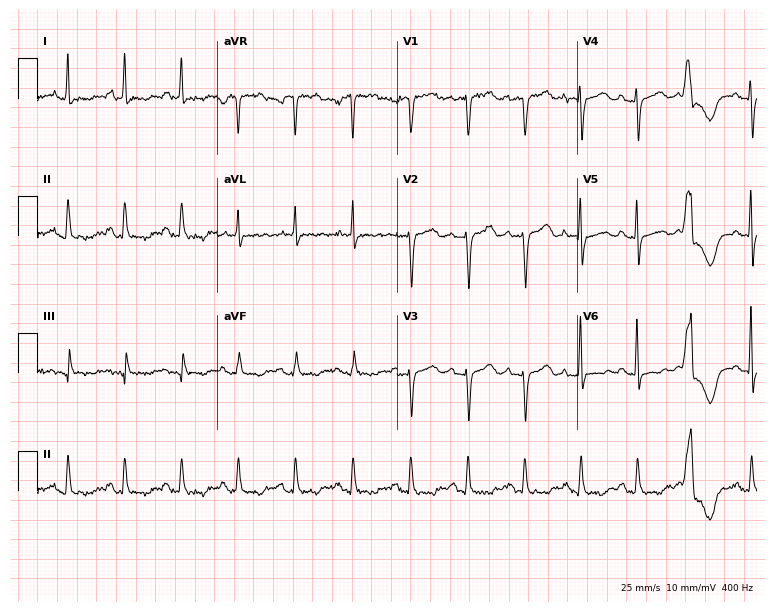
12-lead ECG from a female patient, 85 years old (7.3-second recording at 400 Hz). Shows sinus tachycardia (a sinus rate of 100 beats per minute or more).